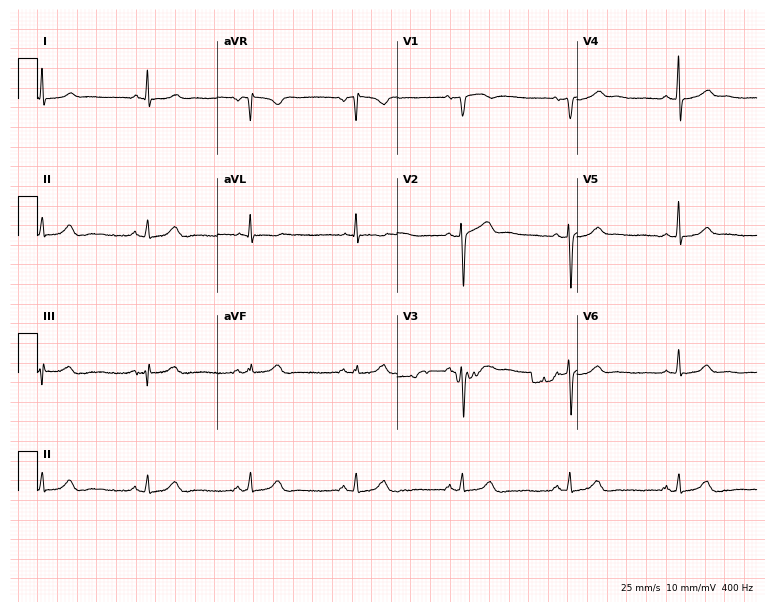
ECG (7.3-second recording at 400 Hz) — a 61-year-old woman. Screened for six findings — first-degree AV block, right bundle branch block (RBBB), left bundle branch block (LBBB), sinus bradycardia, atrial fibrillation (AF), sinus tachycardia — none is recorded. Only these six findings were labelled.